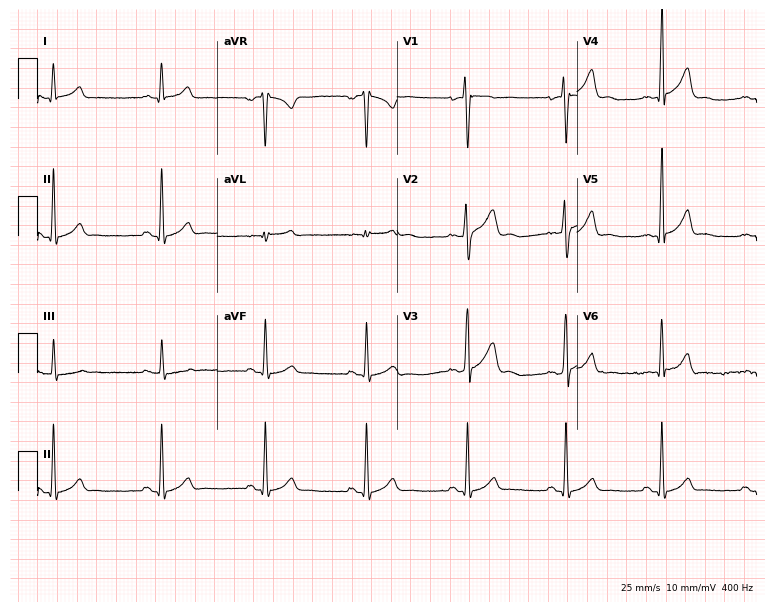
Standard 12-lead ECG recorded from a 22-year-old male patient. Read as a normal ECG.